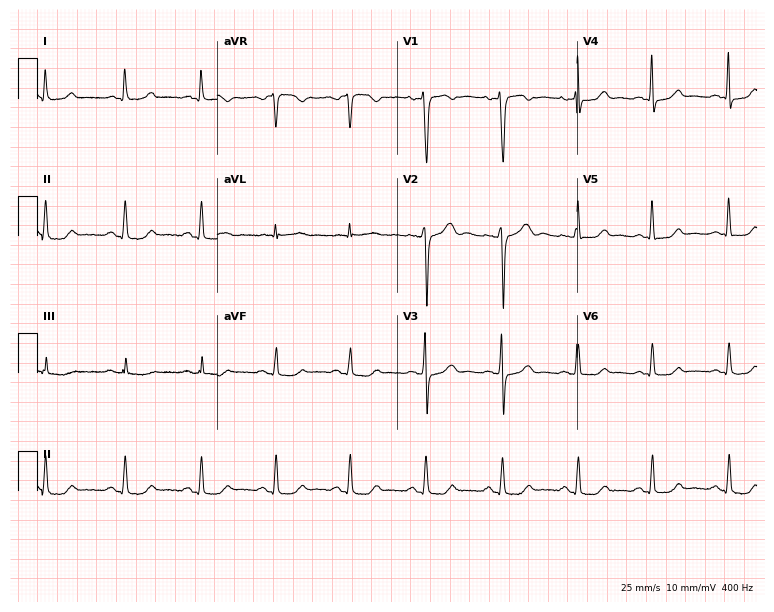
12-lead ECG (7.3-second recording at 400 Hz) from a 39-year-old female. Screened for six findings — first-degree AV block, right bundle branch block, left bundle branch block, sinus bradycardia, atrial fibrillation, sinus tachycardia — none is recorded.